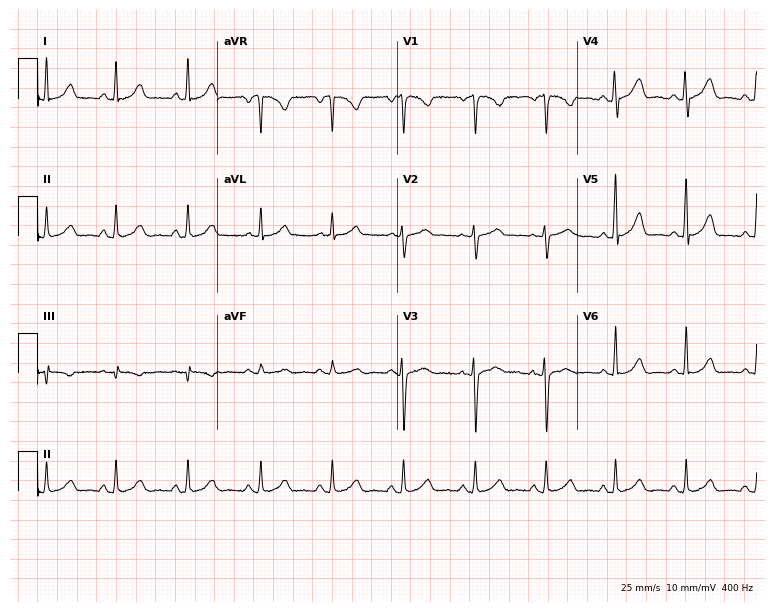
12-lead ECG from a 43-year-old female patient. Labelled as a normal ECG.